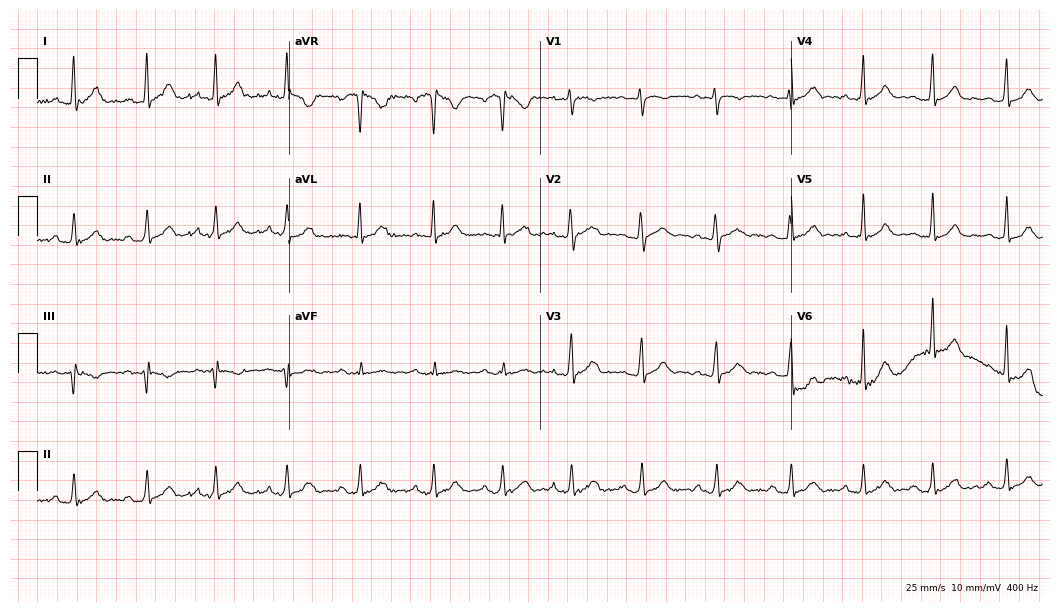
Electrocardiogram, a 23-year-old female patient. Of the six screened findings (first-degree AV block, right bundle branch block, left bundle branch block, sinus bradycardia, atrial fibrillation, sinus tachycardia), none is recorded. Other findings, if any, are not listed.